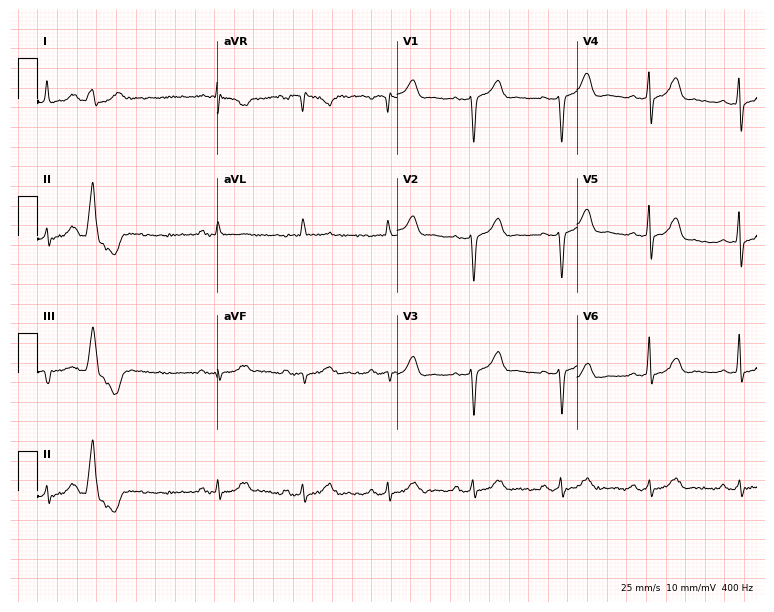
ECG (7.3-second recording at 400 Hz) — an 82-year-old man. Screened for six findings — first-degree AV block, right bundle branch block, left bundle branch block, sinus bradycardia, atrial fibrillation, sinus tachycardia — none is recorded.